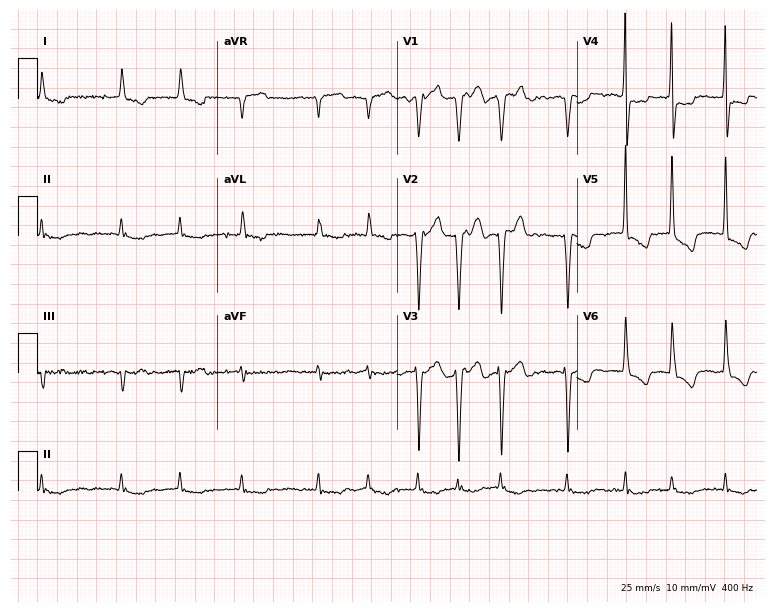
Standard 12-lead ECG recorded from a female, 72 years old (7.3-second recording at 400 Hz). The tracing shows atrial fibrillation.